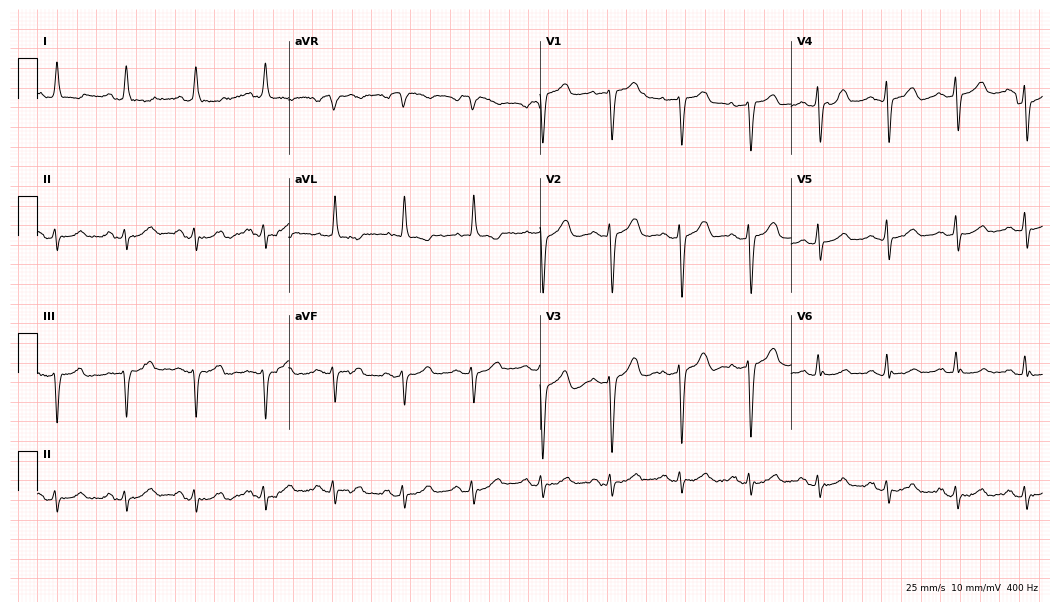
Standard 12-lead ECG recorded from a 76-year-old woman. None of these six findings is recorded: first-degree AV block, right bundle branch block, left bundle branch block, sinus bradycardia, atrial fibrillation, sinus tachycardia. Only these six findings were labelled.